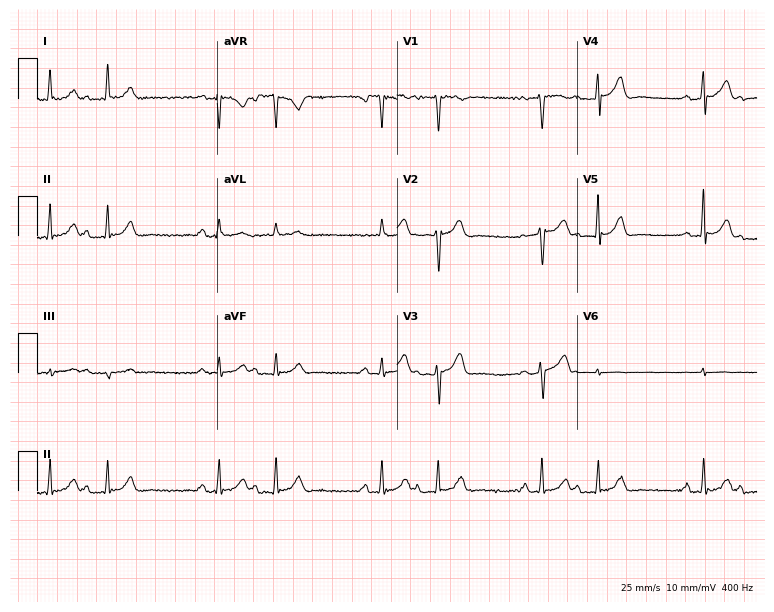
Electrocardiogram (7.3-second recording at 400 Hz), a male, 67 years old. Overall reading on record: normal ECG.